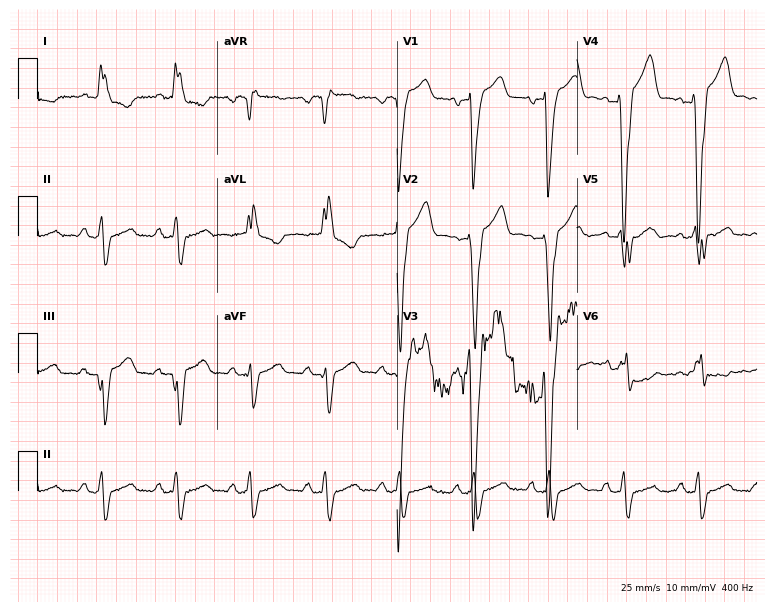
ECG — a 60-year-old woman. Findings include left bundle branch block.